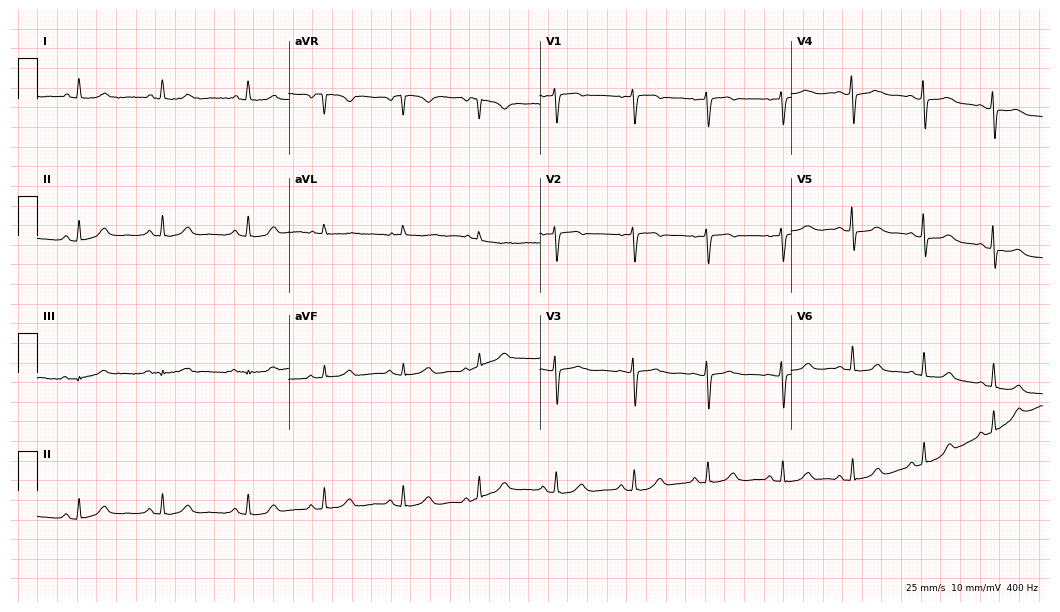
Resting 12-lead electrocardiogram. Patient: a woman, 52 years old. None of these six findings is recorded: first-degree AV block, right bundle branch block (RBBB), left bundle branch block (LBBB), sinus bradycardia, atrial fibrillation (AF), sinus tachycardia.